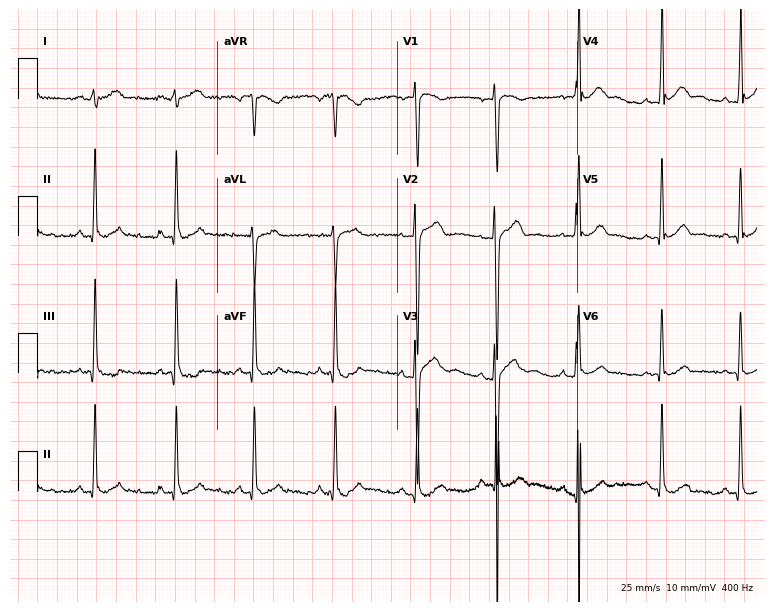
Resting 12-lead electrocardiogram (7.3-second recording at 400 Hz). Patient: a 28-year-old man. None of these six findings is recorded: first-degree AV block, right bundle branch block, left bundle branch block, sinus bradycardia, atrial fibrillation, sinus tachycardia.